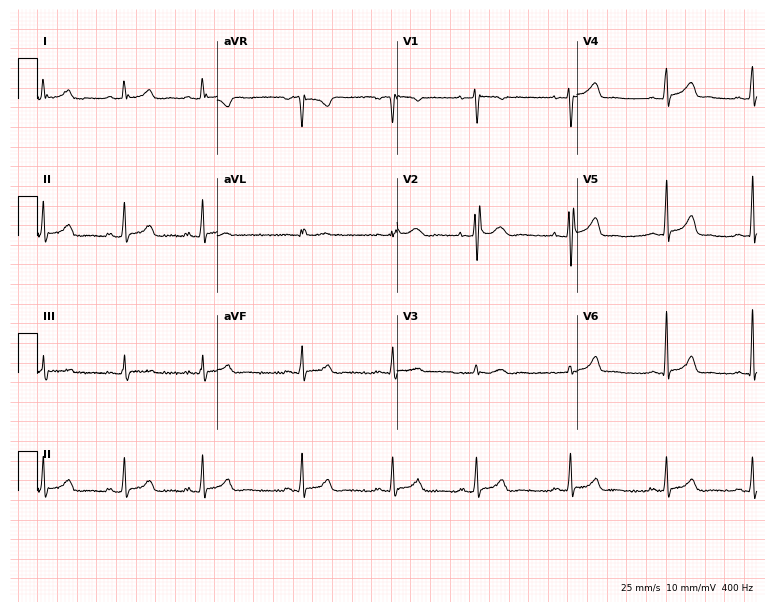
12-lead ECG (7.3-second recording at 400 Hz) from a 24-year-old female patient. Labelled as a normal ECG.